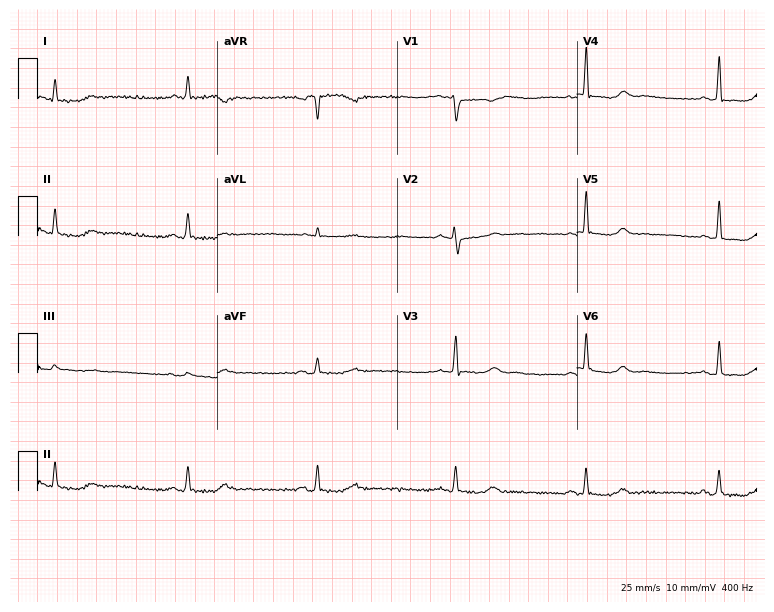
Electrocardiogram (7.3-second recording at 400 Hz), a 58-year-old female patient. Interpretation includes sinus bradycardia (a sinus rate of 50 beats per minute or less).